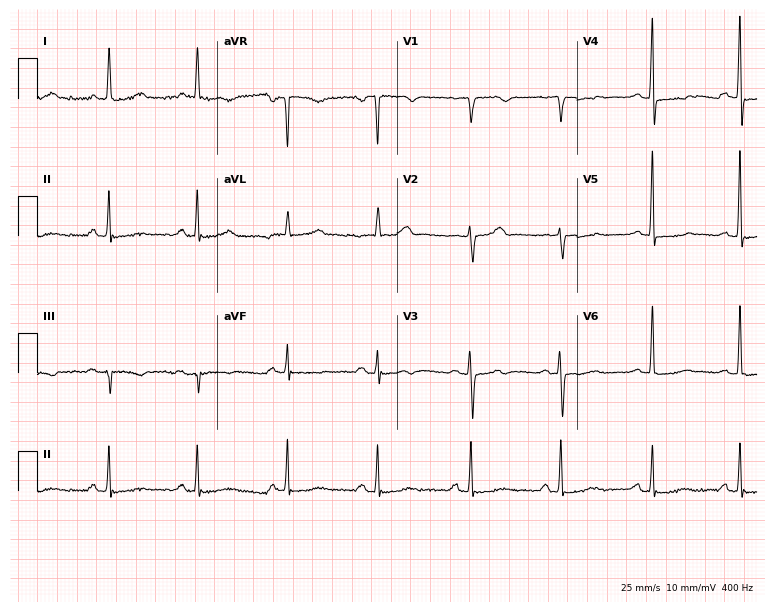
Electrocardiogram (7.3-second recording at 400 Hz), a female patient, 78 years old. Of the six screened findings (first-degree AV block, right bundle branch block, left bundle branch block, sinus bradycardia, atrial fibrillation, sinus tachycardia), none is recorded.